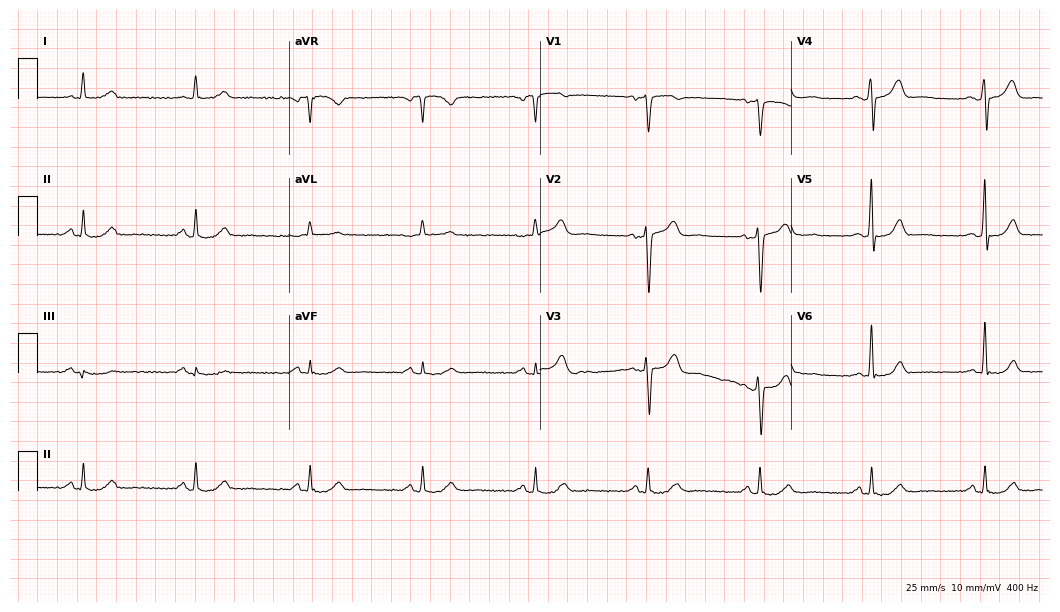
12-lead ECG from a male, 68 years old. Recorded interpretation: within normal limits.